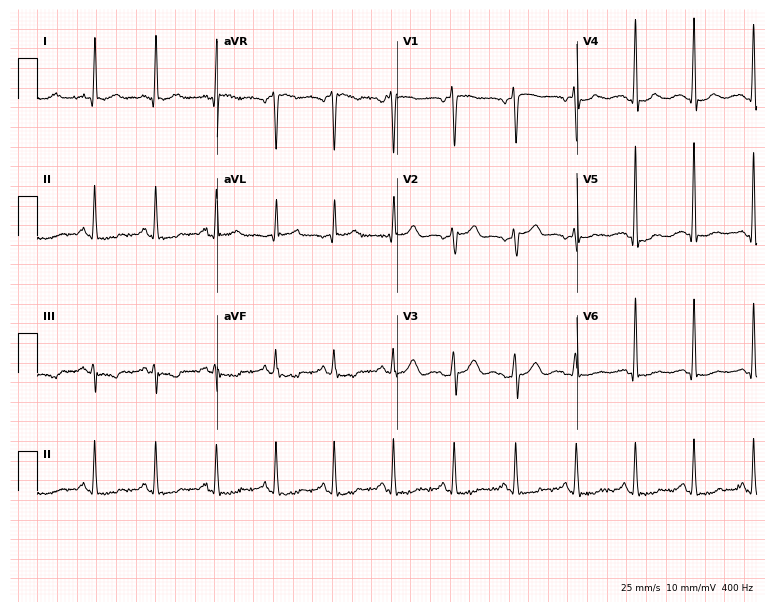
ECG (7.3-second recording at 400 Hz) — a female, 52 years old. Screened for six findings — first-degree AV block, right bundle branch block, left bundle branch block, sinus bradycardia, atrial fibrillation, sinus tachycardia — none is recorded. Other findings, if any, are not listed.